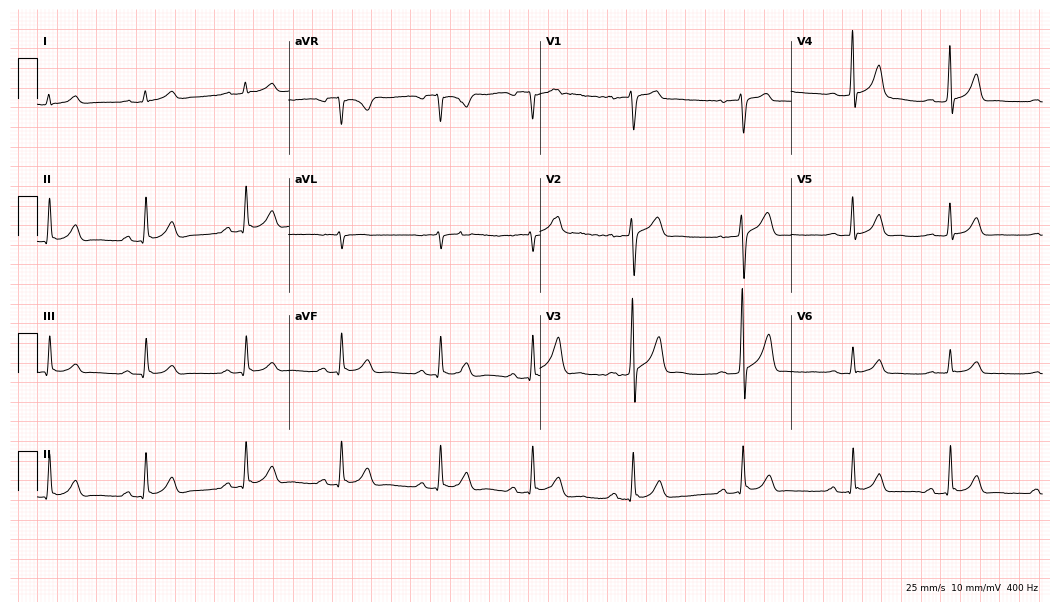
12-lead ECG from a male, 56 years old (10.2-second recording at 400 Hz). Recorded interpretation: within normal limits.